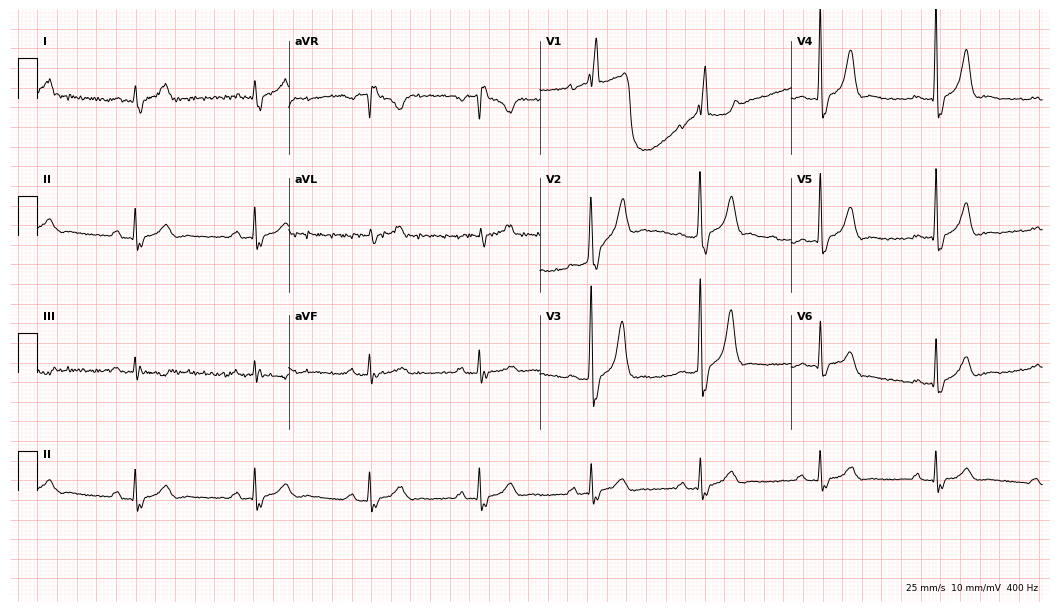
12-lead ECG from a man, 77 years old (10.2-second recording at 400 Hz). Shows right bundle branch block (RBBB).